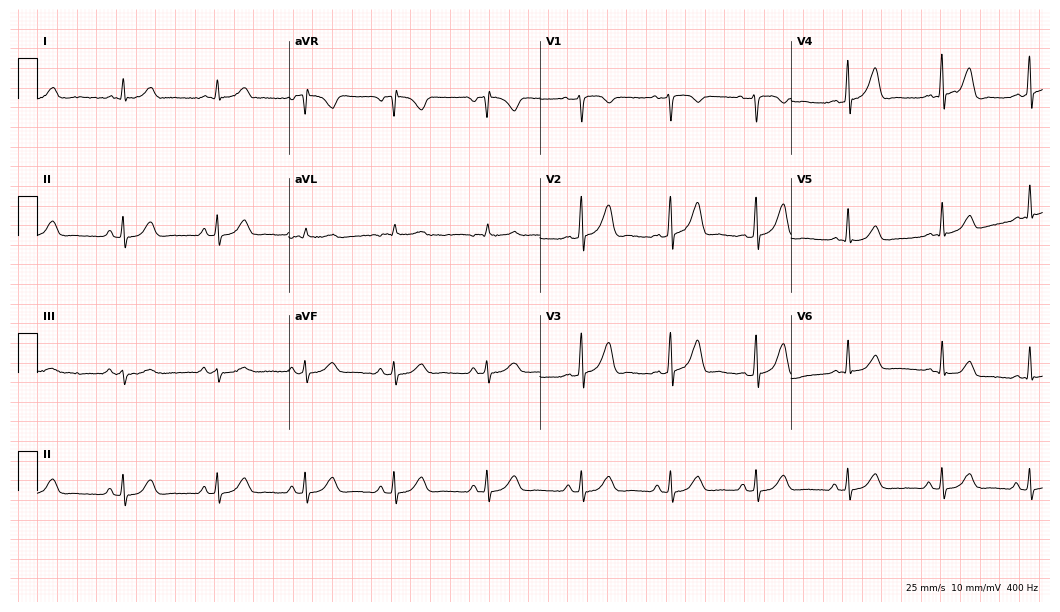
12-lead ECG (10.2-second recording at 400 Hz) from a 64-year-old male. Labelled as a normal ECG.